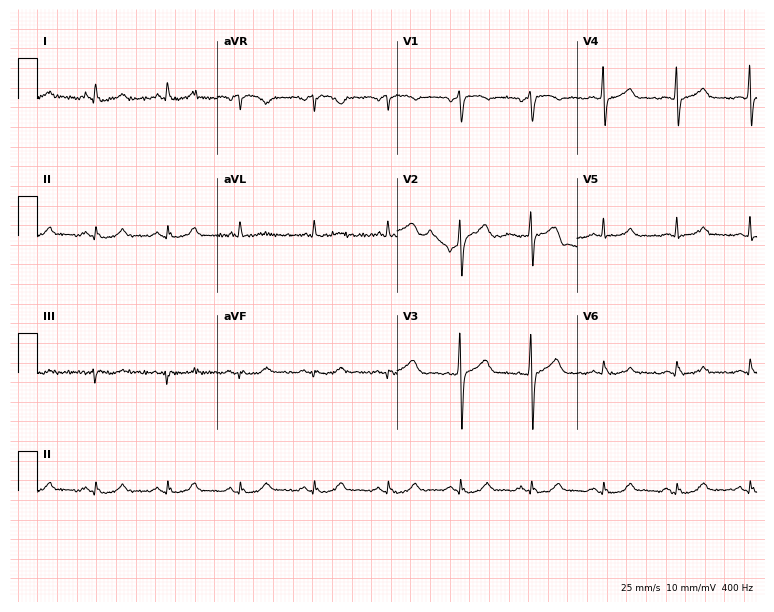
12-lead ECG (7.3-second recording at 400 Hz) from a 44-year-old male. Labelled as a normal ECG.